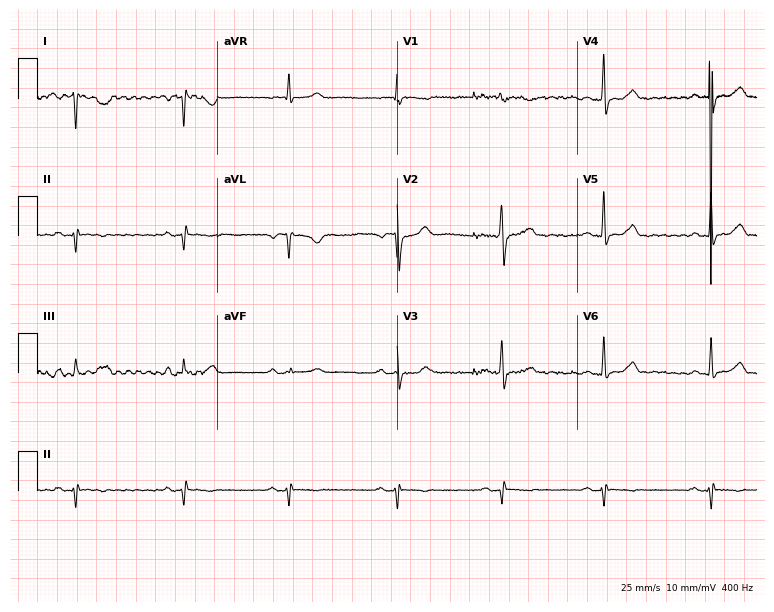
Resting 12-lead electrocardiogram (7.3-second recording at 400 Hz). Patient: a female, 71 years old. None of these six findings is recorded: first-degree AV block, right bundle branch block, left bundle branch block, sinus bradycardia, atrial fibrillation, sinus tachycardia. Findings outside these six are not listed.